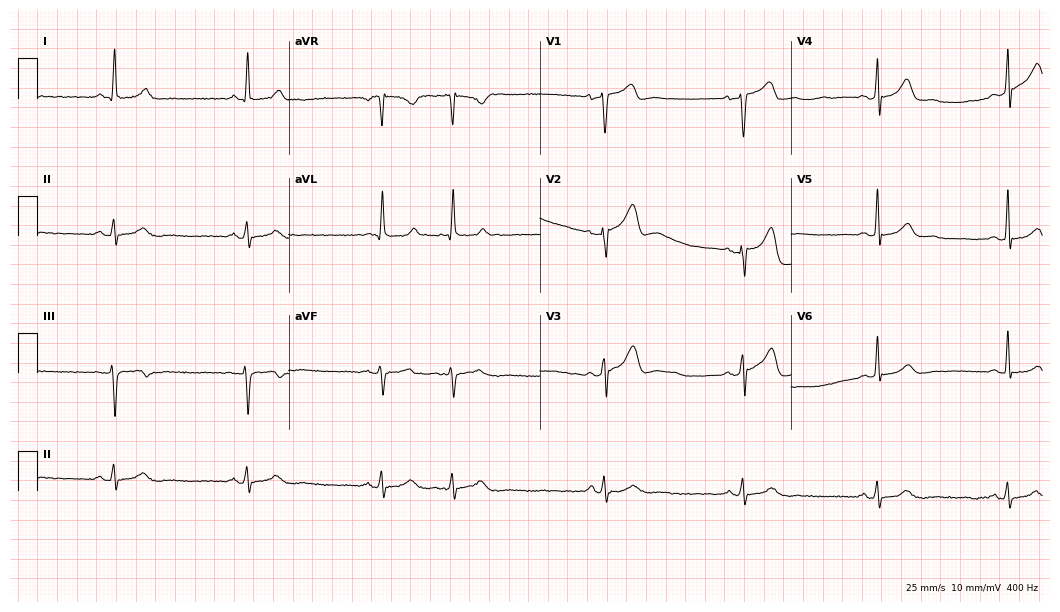
12-lead ECG from a male, 59 years old. Findings include sinus bradycardia (a sinus rate of 50 beats per minute or less).